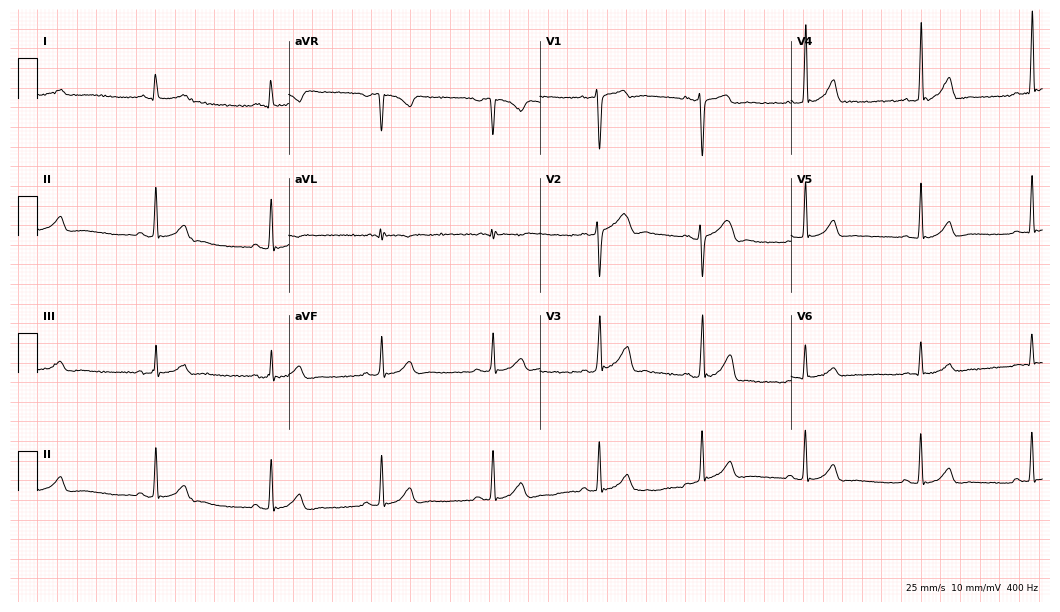
12-lead ECG from a male, 21 years old. Labelled as a normal ECG.